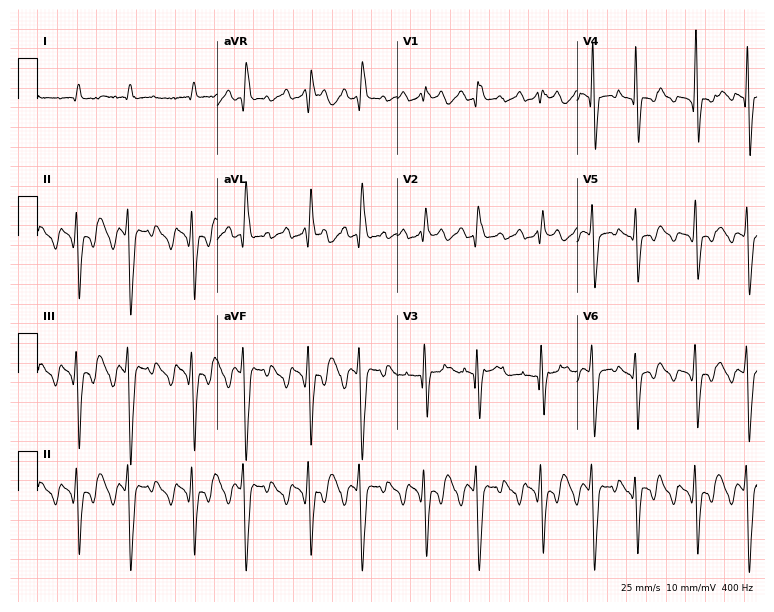
12-lead ECG from an 80-year-old man. No first-degree AV block, right bundle branch block (RBBB), left bundle branch block (LBBB), sinus bradycardia, atrial fibrillation (AF) or sinus tachycardia recorded for this tracing.